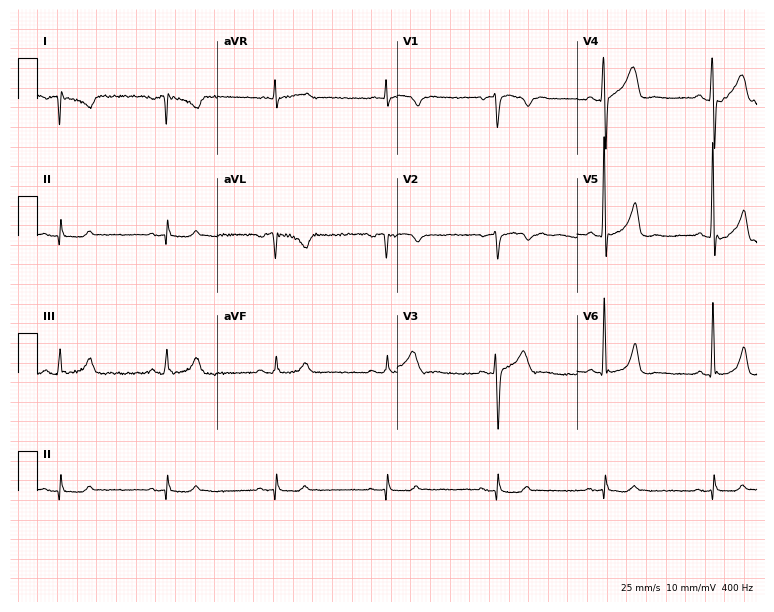
Electrocardiogram, a male, 64 years old. Of the six screened findings (first-degree AV block, right bundle branch block (RBBB), left bundle branch block (LBBB), sinus bradycardia, atrial fibrillation (AF), sinus tachycardia), none is recorded. Findings outside these six are not listed.